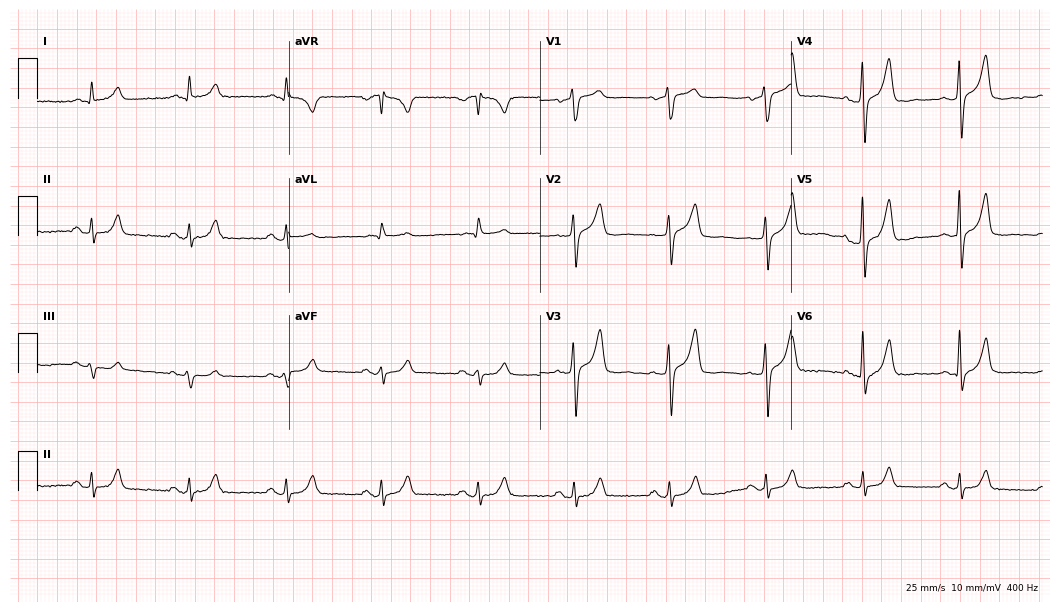
12-lead ECG from a 73-year-old male patient. Labelled as a normal ECG.